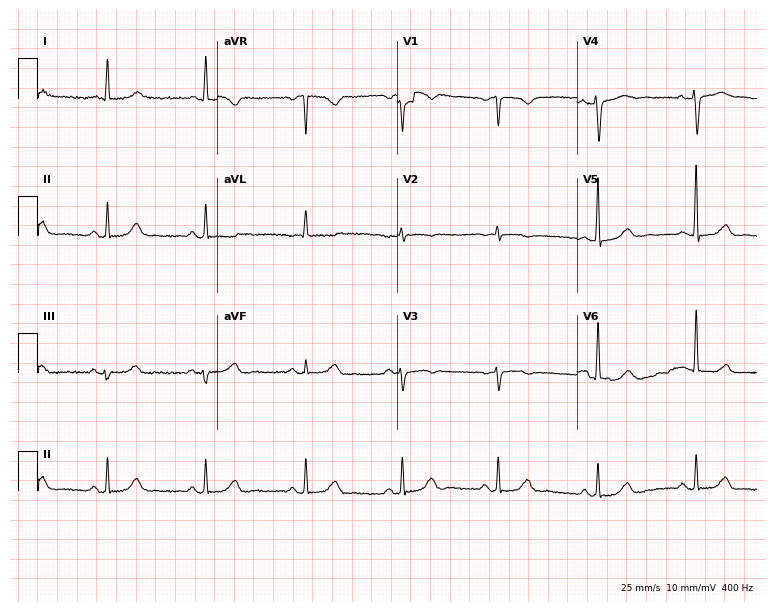
12-lead ECG from a 68-year-old woman (7.3-second recording at 400 Hz). No first-degree AV block, right bundle branch block, left bundle branch block, sinus bradycardia, atrial fibrillation or sinus tachycardia recorded for this tracing.